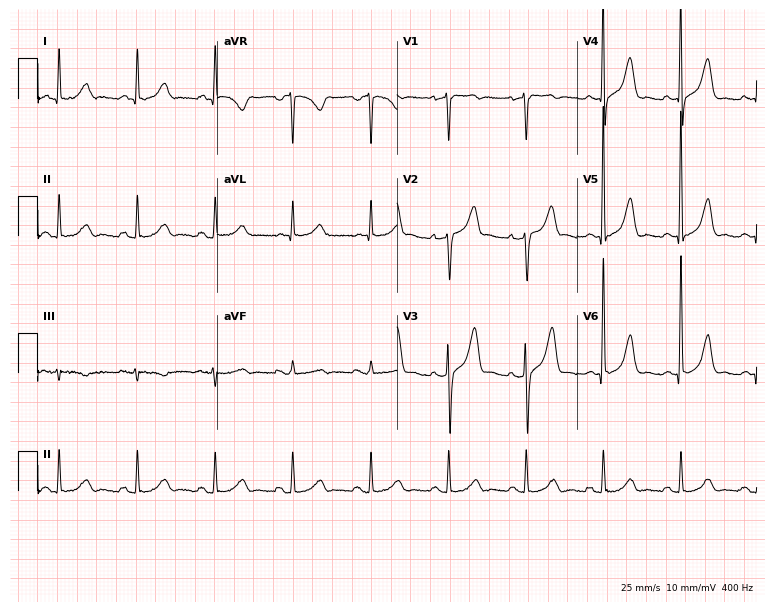
12-lead ECG (7.3-second recording at 400 Hz) from a 51-year-old male patient. Screened for six findings — first-degree AV block, right bundle branch block (RBBB), left bundle branch block (LBBB), sinus bradycardia, atrial fibrillation (AF), sinus tachycardia — none is recorded. Findings outside these six are not listed.